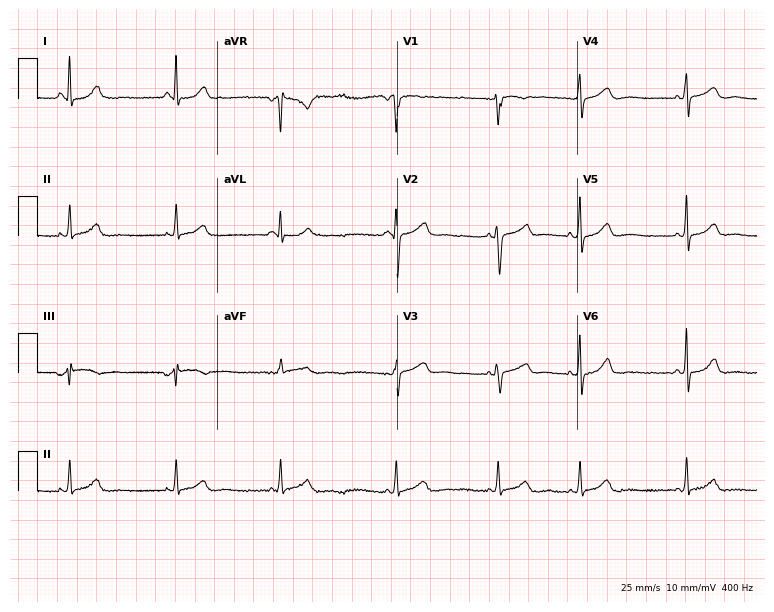
12-lead ECG from a woman, 20 years old (7.3-second recording at 400 Hz). Recorded interpretation: within normal limits.